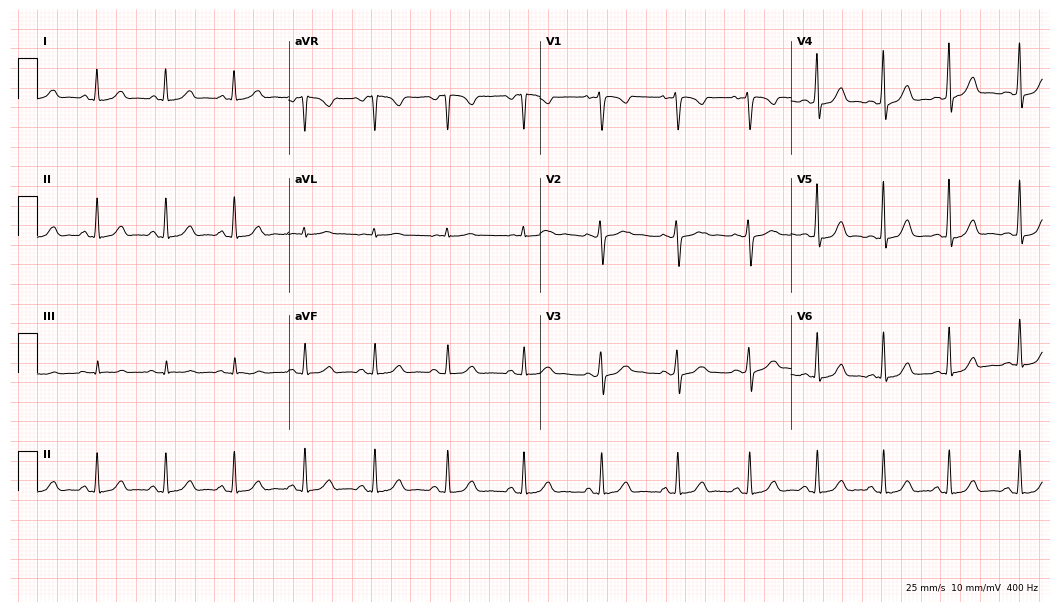
Electrocardiogram (10.2-second recording at 400 Hz), a female, 43 years old. Overall reading on record: normal ECG.